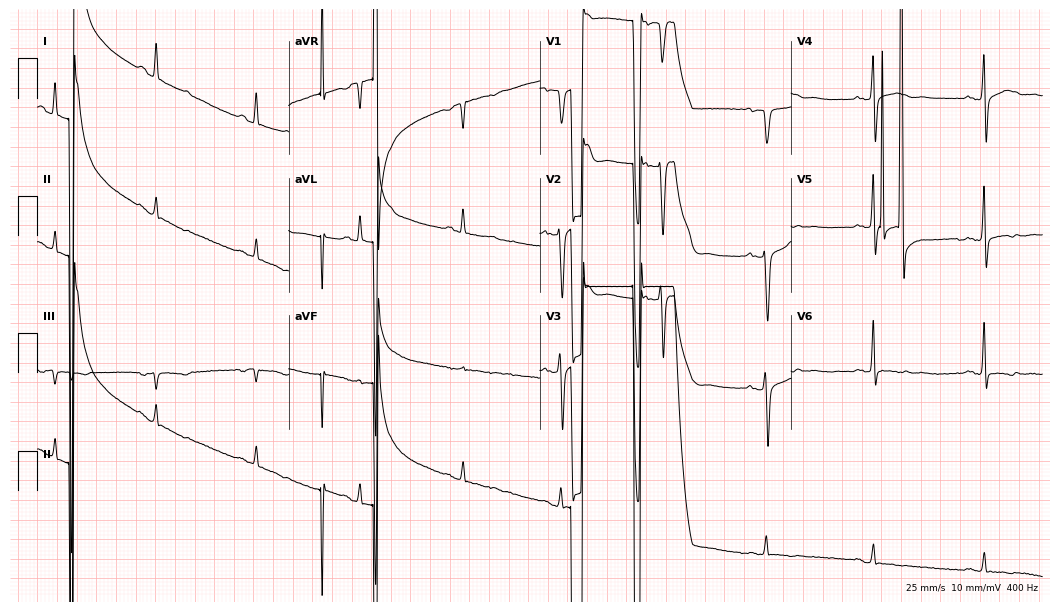
12-lead ECG from a man, 57 years old (10.2-second recording at 400 Hz). No first-degree AV block, right bundle branch block, left bundle branch block, sinus bradycardia, atrial fibrillation or sinus tachycardia recorded for this tracing.